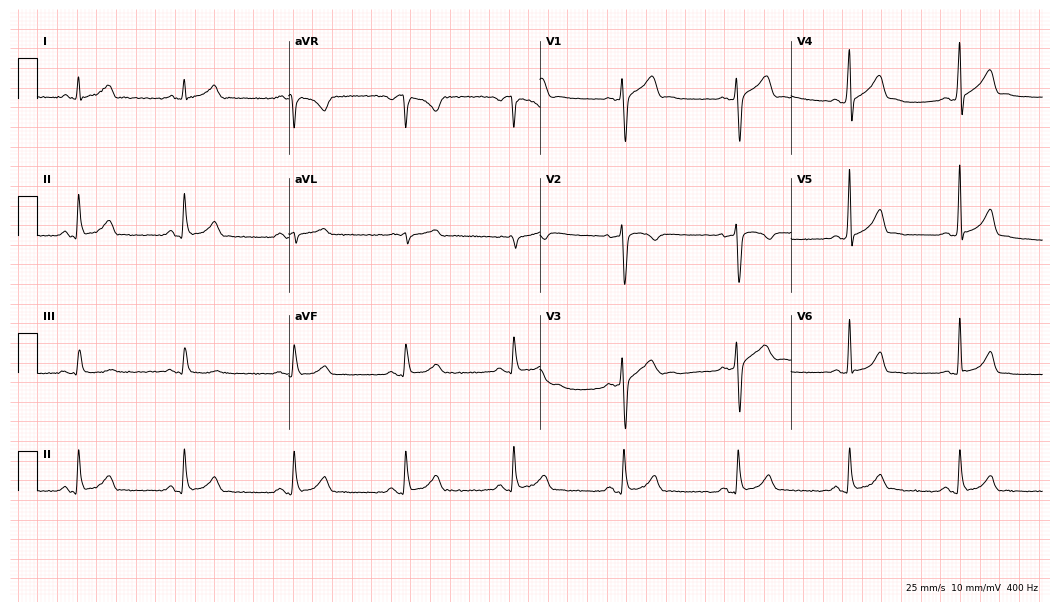
ECG (10.2-second recording at 400 Hz) — a man, 39 years old. Labelled as a normal ECG.